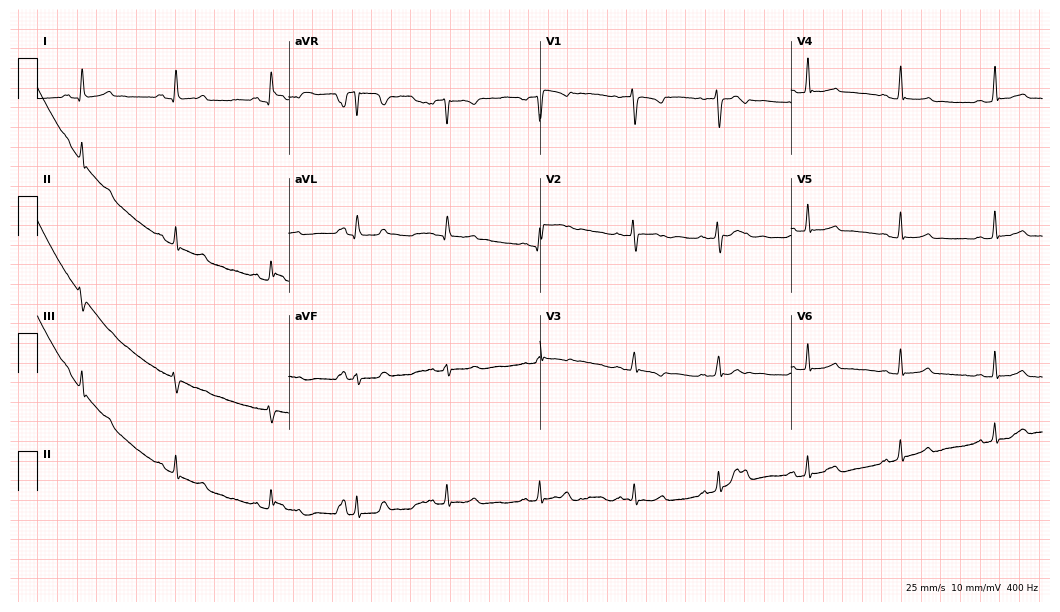
Standard 12-lead ECG recorded from a 17-year-old female (10.2-second recording at 400 Hz). None of these six findings is recorded: first-degree AV block, right bundle branch block, left bundle branch block, sinus bradycardia, atrial fibrillation, sinus tachycardia.